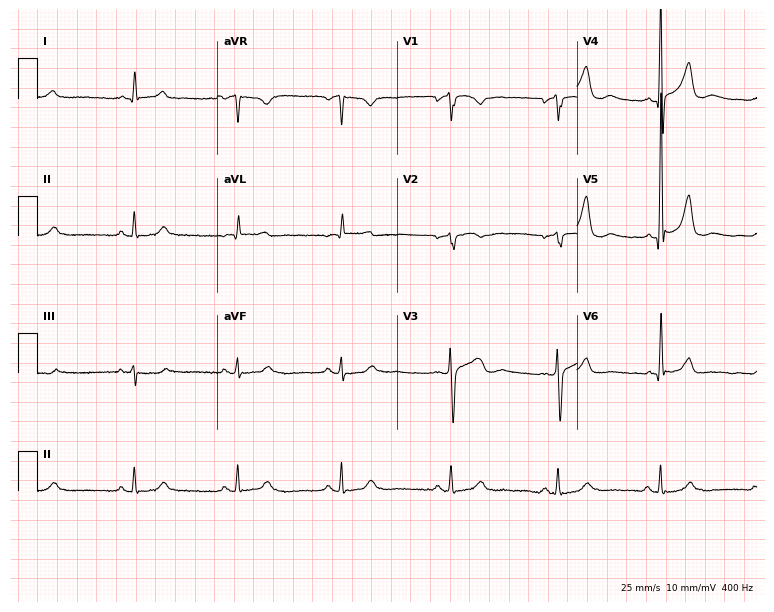
12-lead ECG (7.3-second recording at 400 Hz) from an 82-year-old male patient. Labelled as a normal ECG.